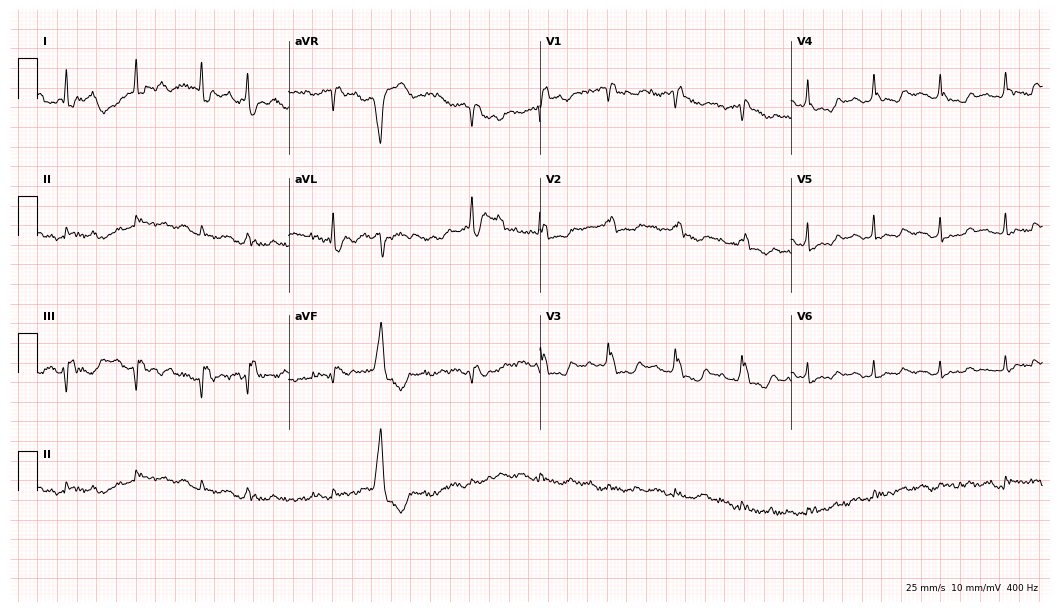
Standard 12-lead ECG recorded from an 86-year-old male (10.2-second recording at 400 Hz). None of these six findings is recorded: first-degree AV block, right bundle branch block, left bundle branch block, sinus bradycardia, atrial fibrillation, sinus tachycardia.